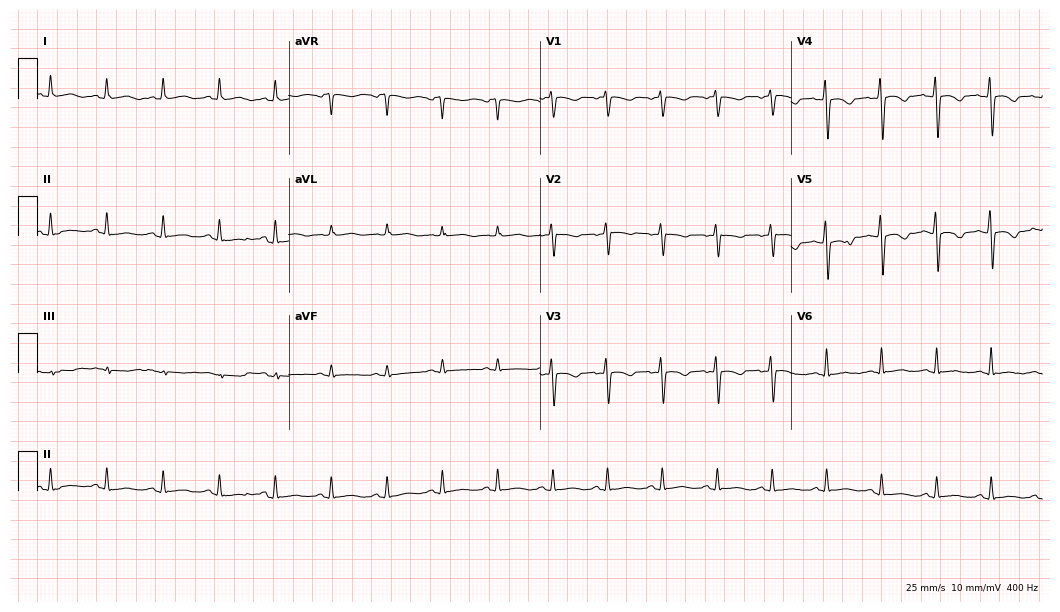
12-lead ECG from a female, 21 years old. Shows sinus tachycardia (a sinus rate of 100 beats per minute or more).